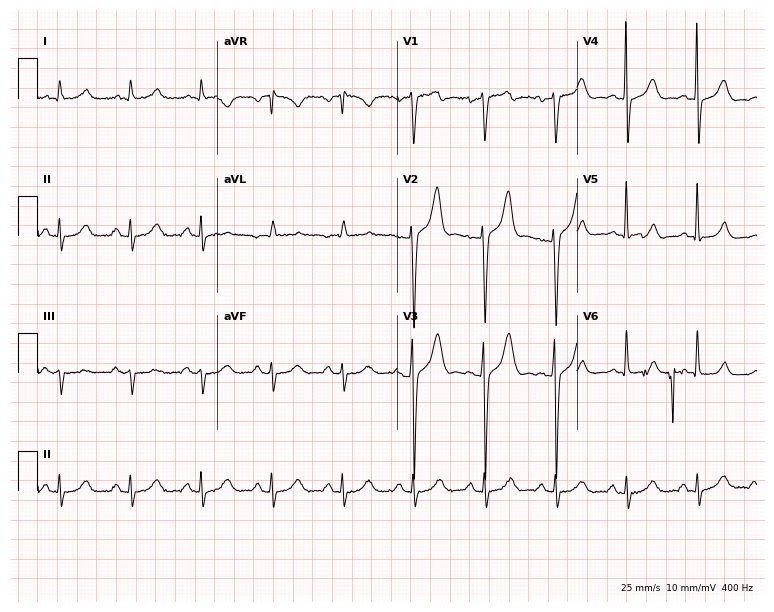
Standard 12-lead ECG recorded from a 48-year-old male. None of these six findings is recorded: first-degree AV block, right bundle branch block, left bundle branch block, sinus bradycardia, atrial fibrillation, sinus tachycardia. Only these six findings were labelled.